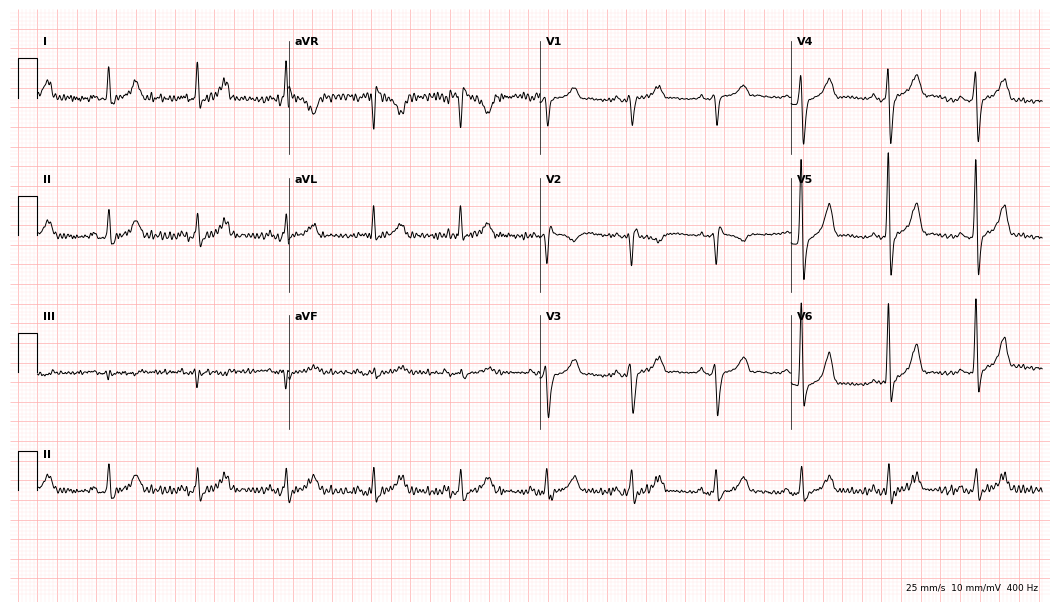
Electrocardiogram, a male patient, 52 years old. Of the six screened findings (first-degree AV block, right bundle branch block (RBBB), left bundle branch block (LBBB), sinus bradycardia, atrial fibrillation (AF), sinus tachycardia), none is recorded.